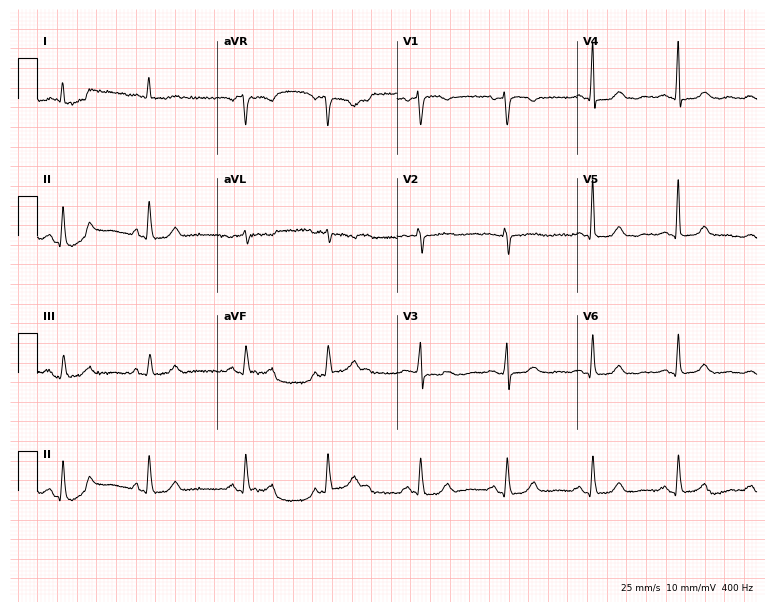
Electrocardiogram (7.3-second recording at 400 Hz), a female patient, 85 years old. Of the six screened findings (first-degree AV block, right bundle branch block, left bundle branch block, sinus bradycardia, atrial fibrillation, sinus tachycardia), none is recorded.